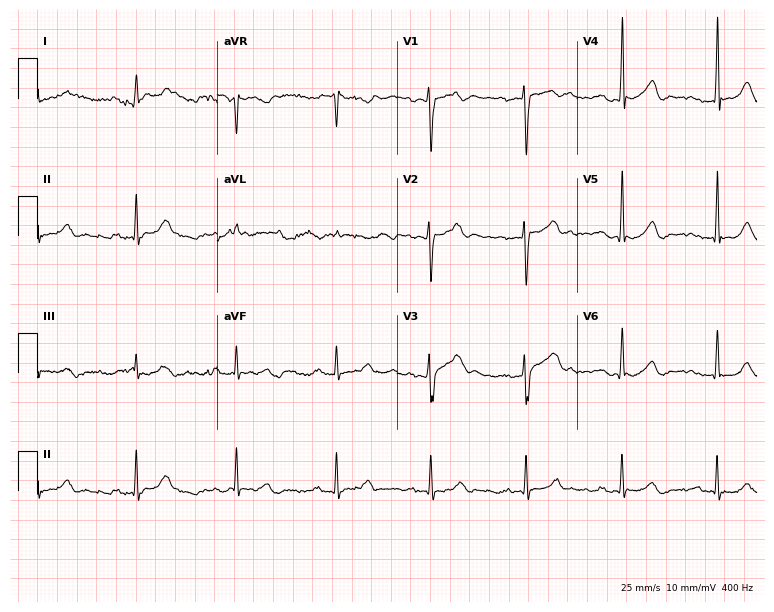
12-lead ECG from a man, 53 years old. No first-degree AV block, right bundle branch block, left bundle branch block, sinus bradycardia, atrial fibrillation or sinus tachycardia recorded for this tracing. Other findings, if any, are not listed.